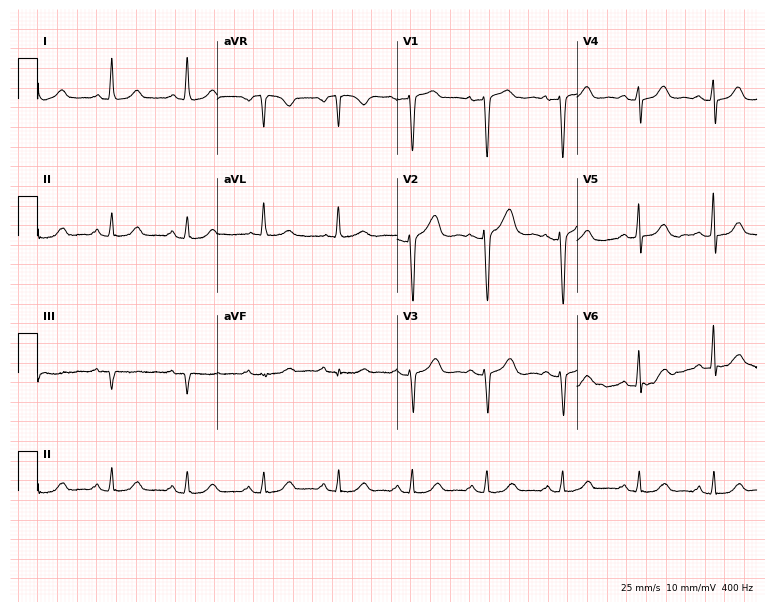
ECG (7.3-second recording at 400 Hz) — a female, 48 years old. Screened for six findings — first-degree AV block, right bundle branch block, left bundle branch block, sinus bradycardia, atrial fibrillation, sinus tachycardia — none is recorded.